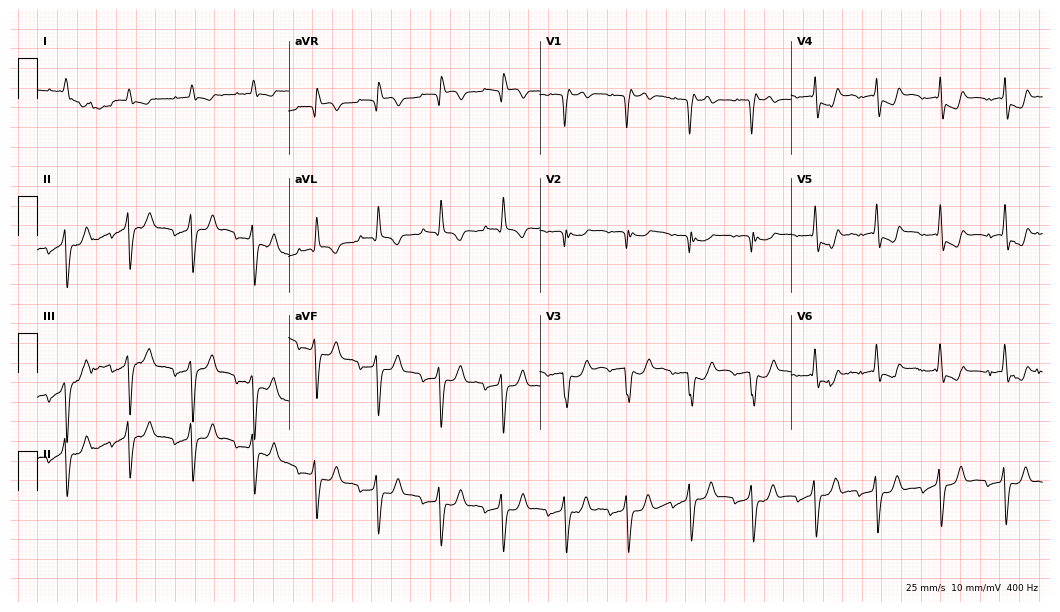
Standard 12-lead ECG recorded from an 82-year-old male patient (10.2-second recording at 400 Hz). None of these six findings is recorded: first-degree AV block, right bundle branch block (RBBB), left bundle branch block (LBBB), sinus bradycardia, atrial fibrillation (AF), sinus tachycardia.